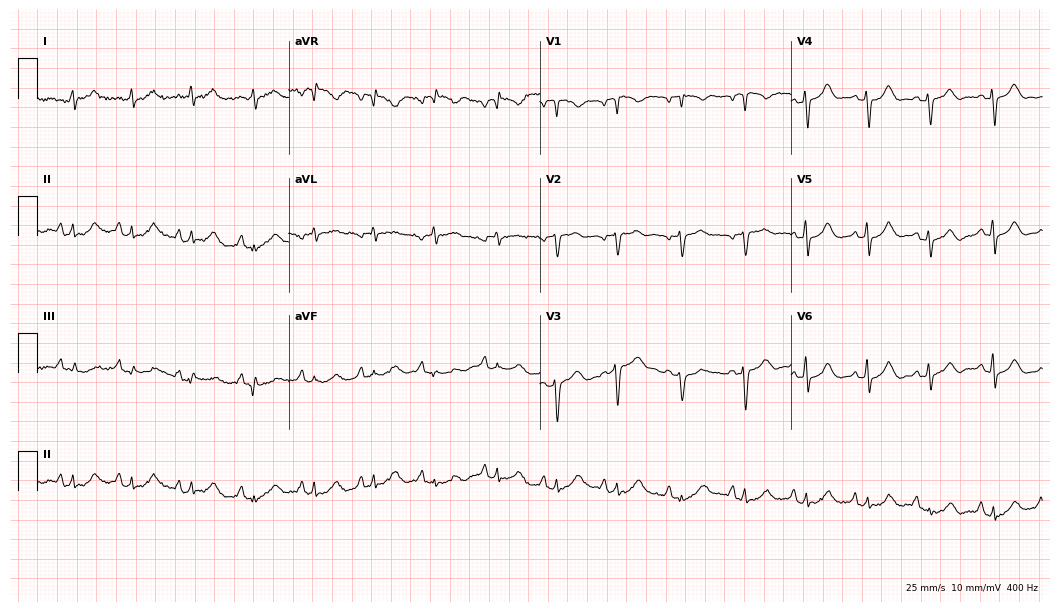
12-lead ECG from a 78-year-old female. No first-degree AV block, right bundle branch block (RBBB), left bundle branch block (LBBB), sinus bradycardia, atrial fibrillation (AF) or sinus tachycardia recorded for this tracing.